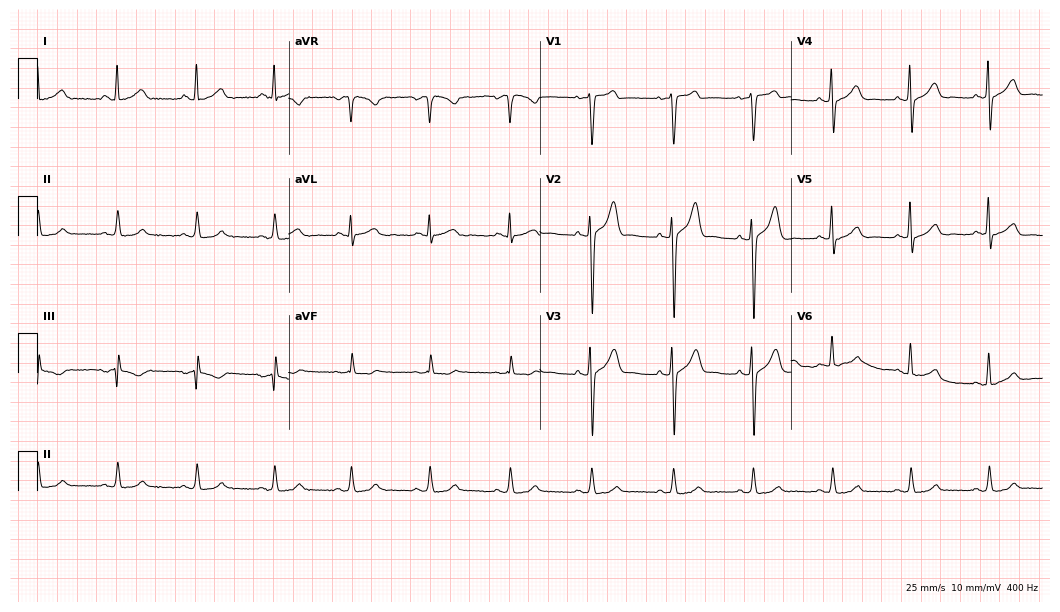
Resting 12-lead electrocardiogram (10.2-second recording at 400 Hz). Patient: a 41-year-old man. Read as a normal ECG.